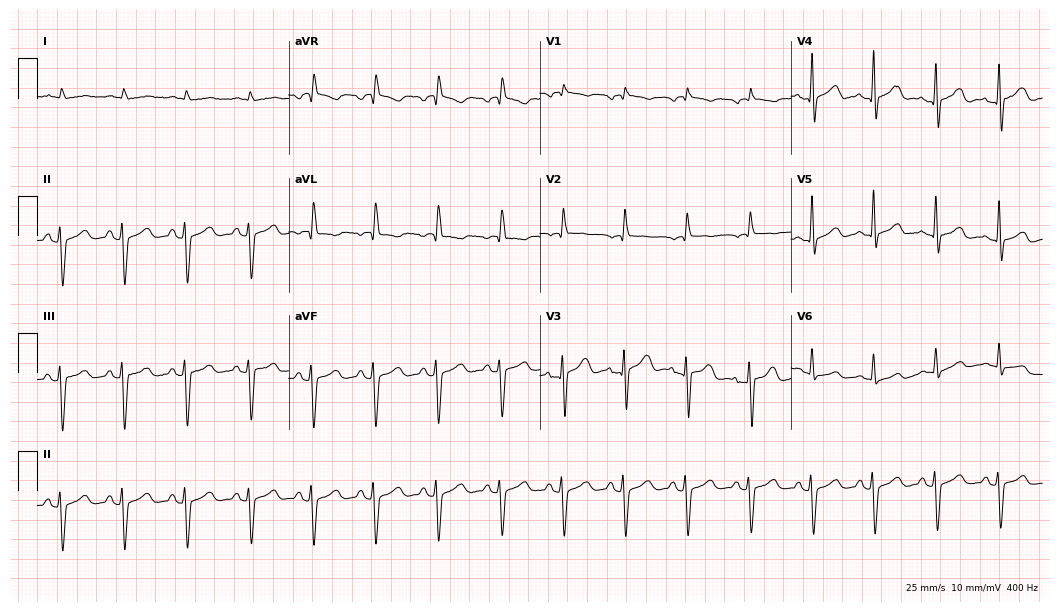
Standard 12-lead ECG recorded from a man, 85 years old (10.2-second recording at 400 Hz). None of these six findings is recorded: first-degree AV block, right bundle branch block (RBBB), left bundle branch block (LBBB), sinus bradycardia, atrial fibrillation (AF), sinus tachycardia.